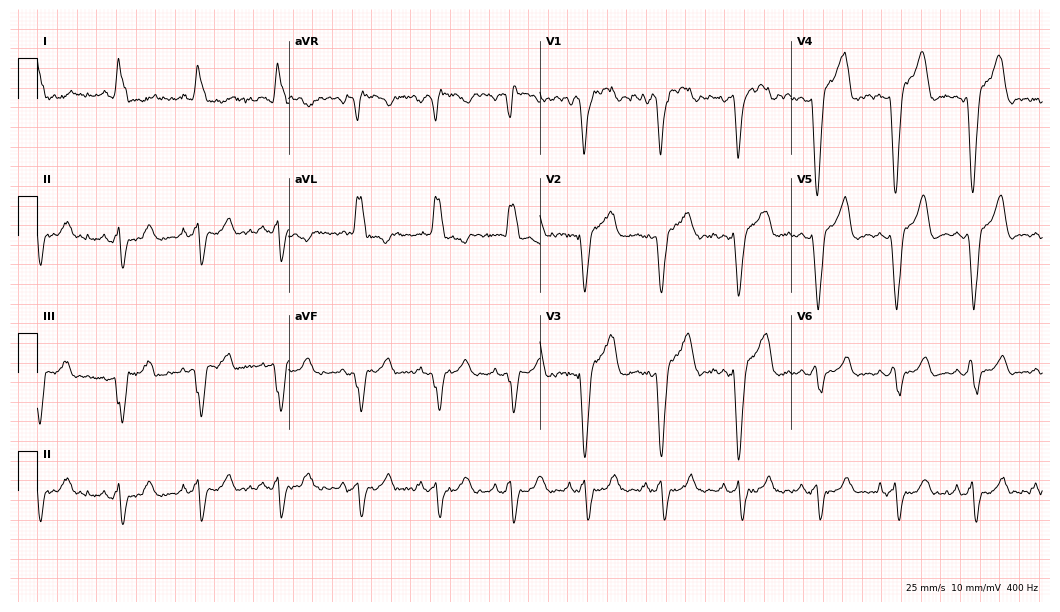
12-lead ECG from a 37-year-old woman. Findings include left bundle branch block.